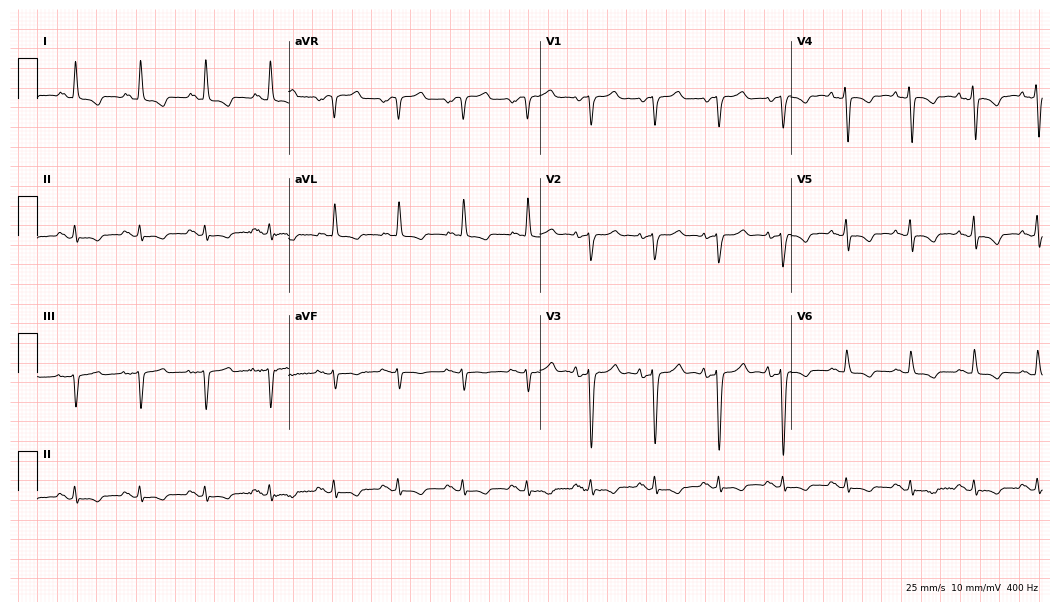
12-lead ECG from a female patient, 75 years old. No first-degree AV block, right bundle branch block, left bundle branch block, sinus bradycardia, atrial fibrillation or sinus tachycardia recorded for this tracing.